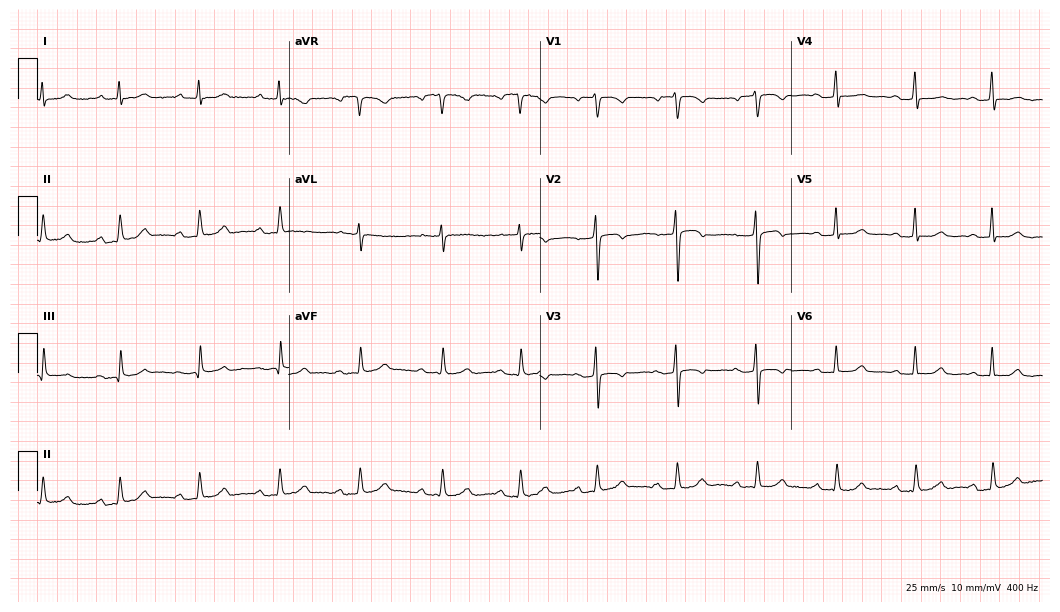
Resting 12-lead electrocardiogram (10.2-second recording at 400 Hz). Patient: a 63-year-old woman. Read as a normal ECG.